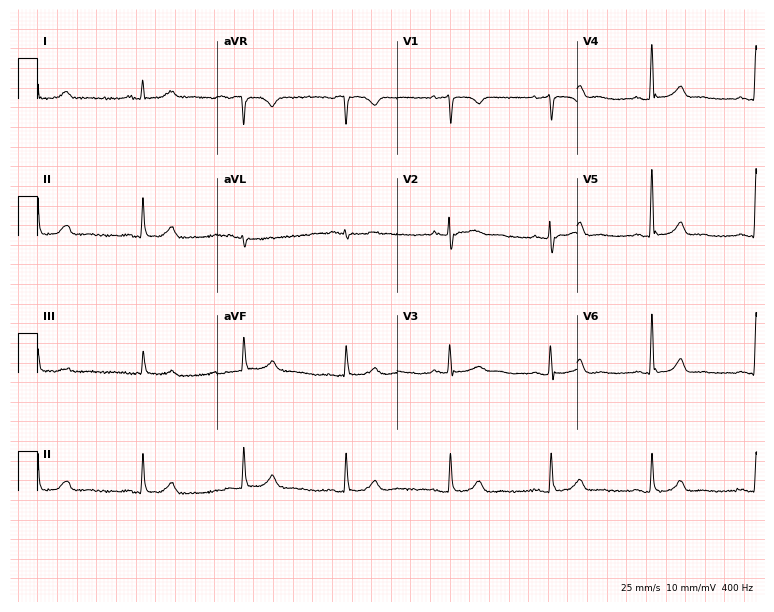
Resting 12-lead electrocardiogram. Patient: a 52-year-old female. Read as a normal ECG.